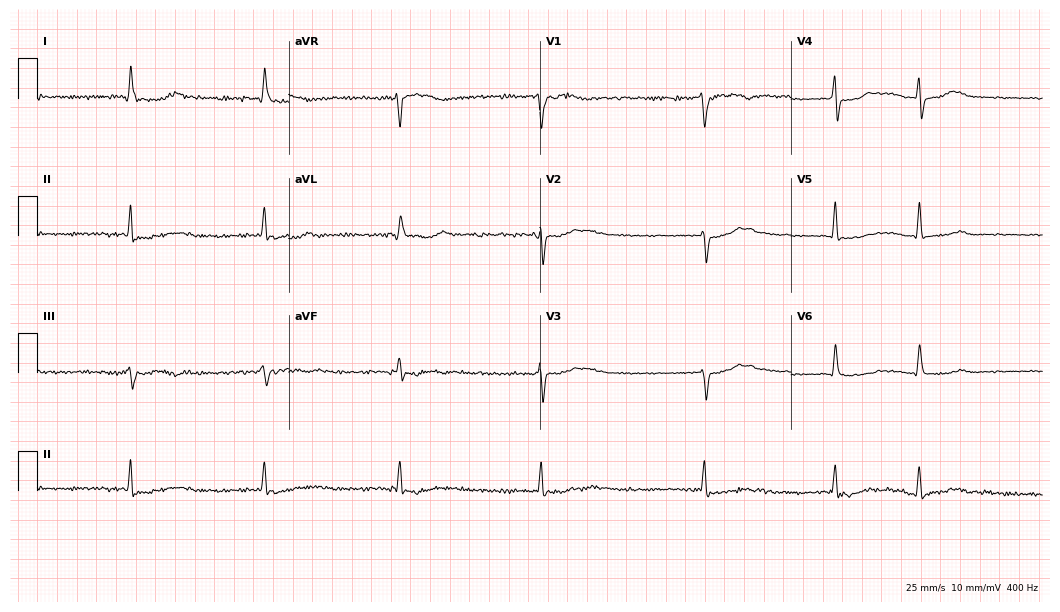
Resting 12-lead electrocardiogram (10.2-second recording at 400 Hz). Patient: an 82-year-old female. None of these six findings is recorded: first-degree AV block, right bundle branch block, left bundle branch block, sinus bradycardia, atrial fibrillation, sinus tachycardia. Findings outside these six are not listed.